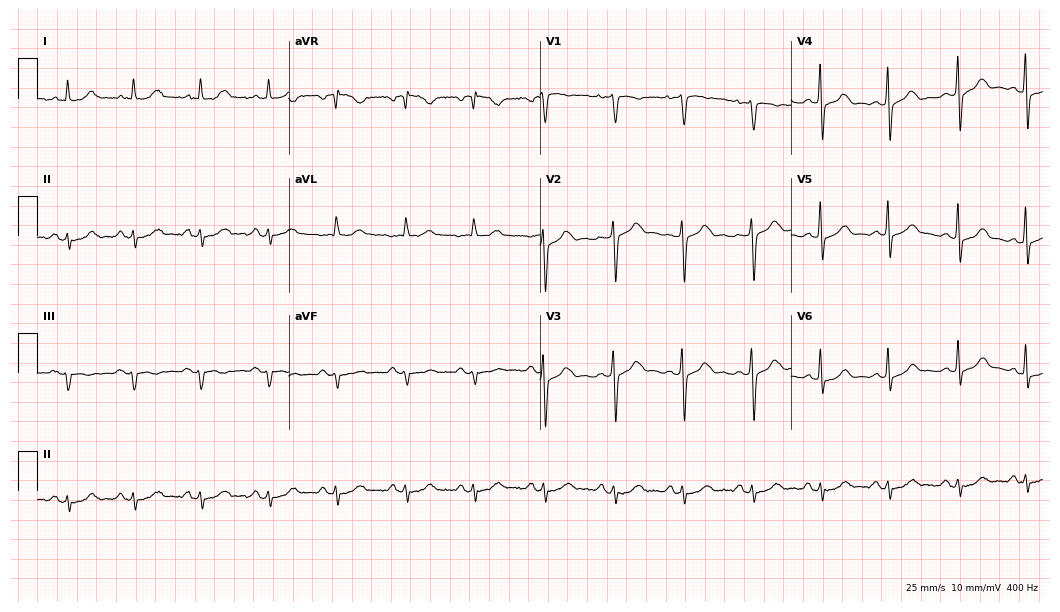
Standard 12-lead ECG recorded from a woman, 77 years old. None of these six findings is recorded: first-degree AV block, right bundle branch block (RBBB), left bundle branch block (LBBB), sinus bradycardia, atrial fibrillation (AF), sinus tachycardia. Findings outside these six are not listed.